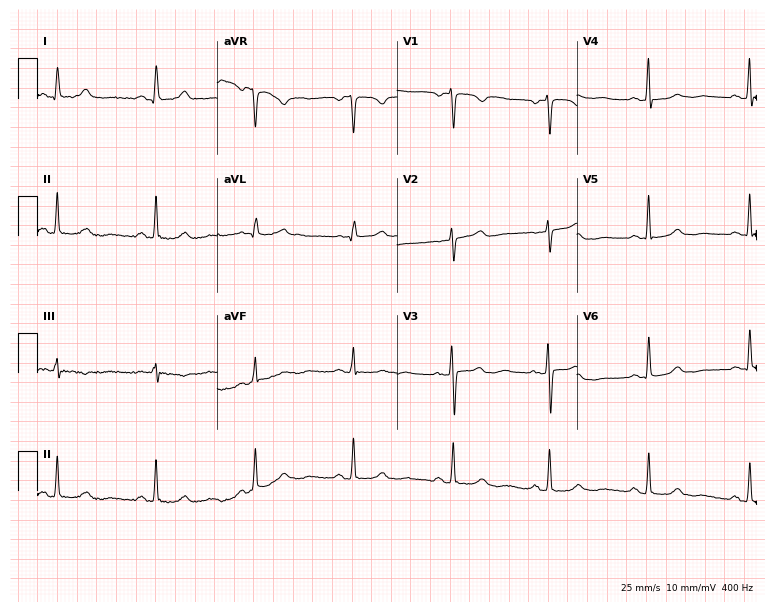
ECG (7.3-second recording at 400 Hz) — a female patient, 68 years old. Screened for six findings — first-degree AV block, right bundle branch block (RBBB), left bundle branch block (LBBB), sinus bradycardia, atrial fibrillation (AF), sinus tachycardia — none is recorded. Only these six findings were labelled.